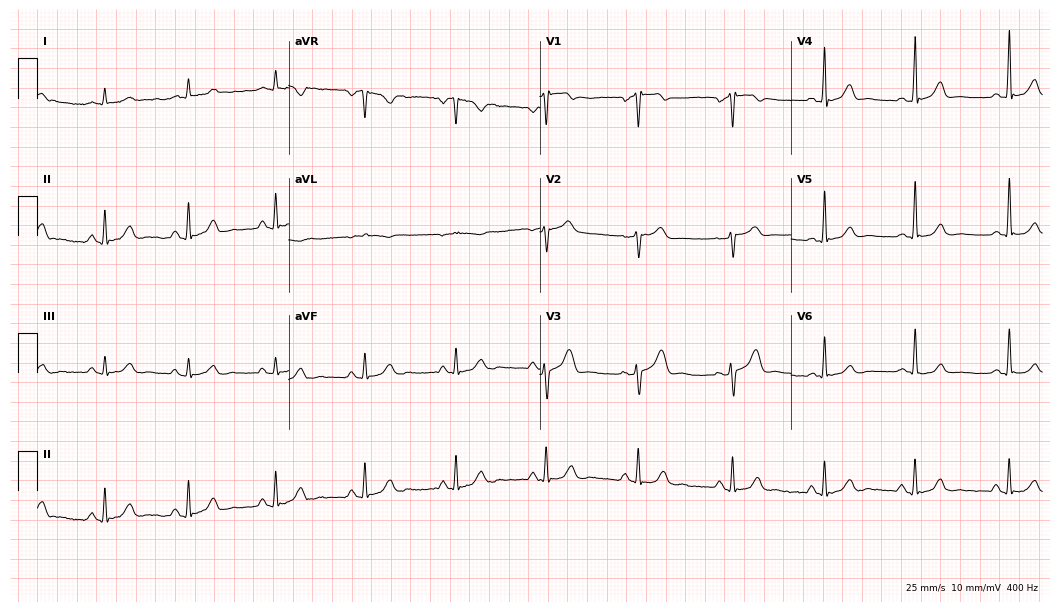
Electrocardiogram, a male patient, 71 years old. Overall reading on record: normal ECG.